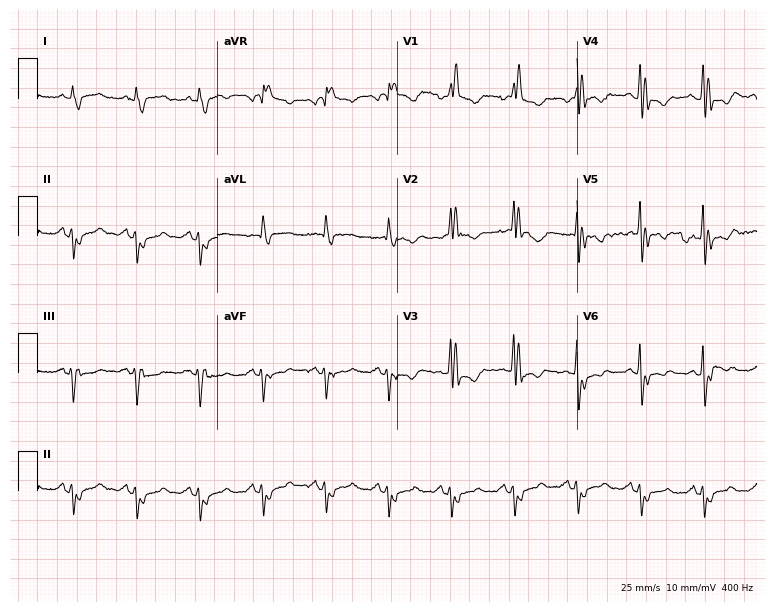
ECG (7.3-second recording at 400 Hz) — an 84-year-old woman. Findings include right bundle branch block (RBBB).